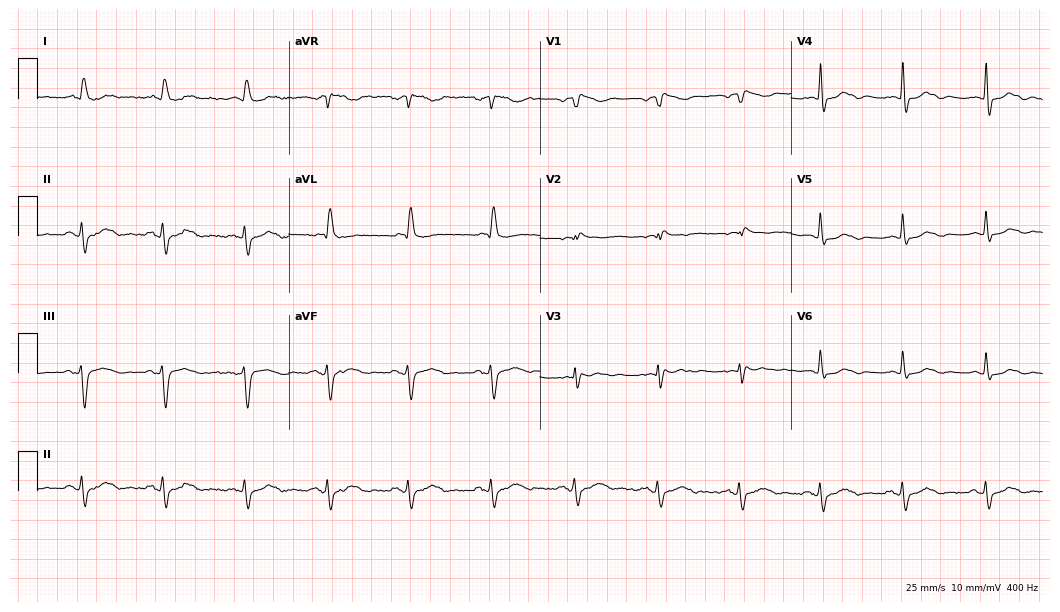
12-lead ECG from a 74-year-old male patient (10.2-second recording at 400 Hz). No first-degree AV block, right bundle branch block, left bundle branch block, sinus bradycardia, atrial fibrillation or sinus tachycardia recorded for this tracing. Only these six findings were labelled.